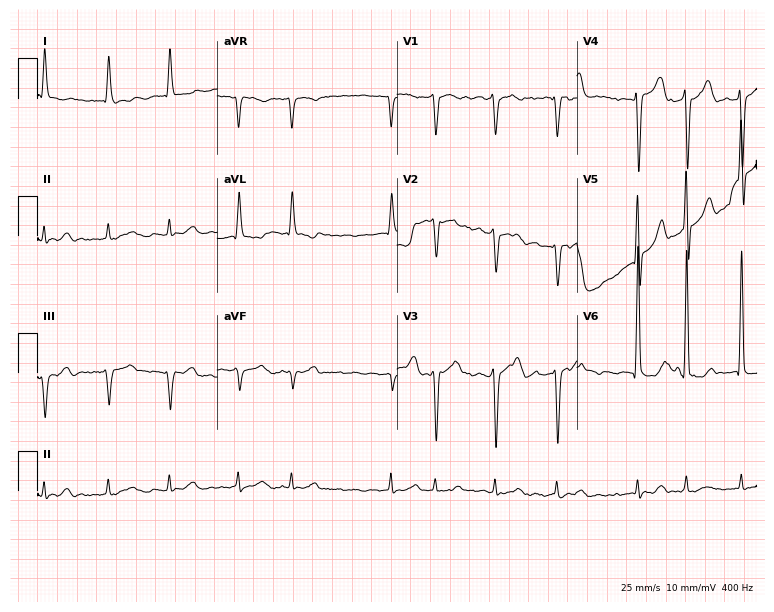
ECG — a 79-year-old man. Findings include atrial fibrillation.